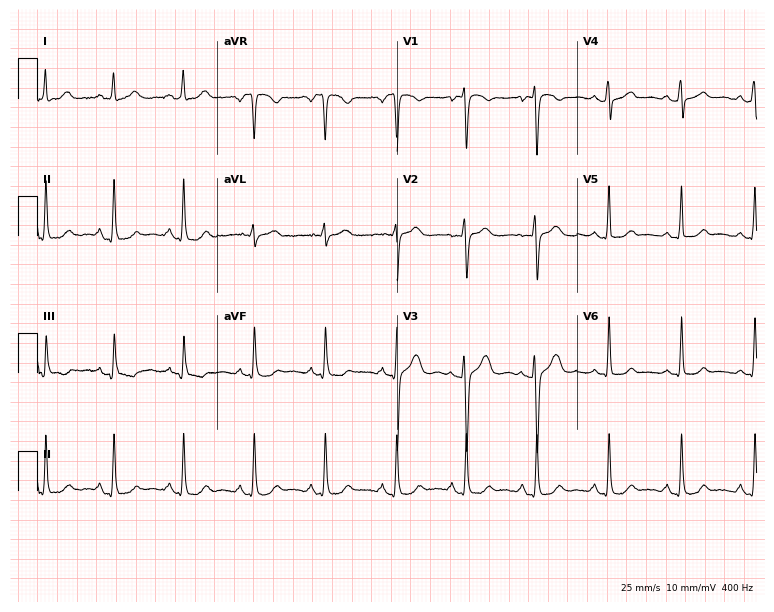
12-lead ECG (7.3-second recording at 400 Hz) from a female, 29 years old. Labelled as a normal ECG.